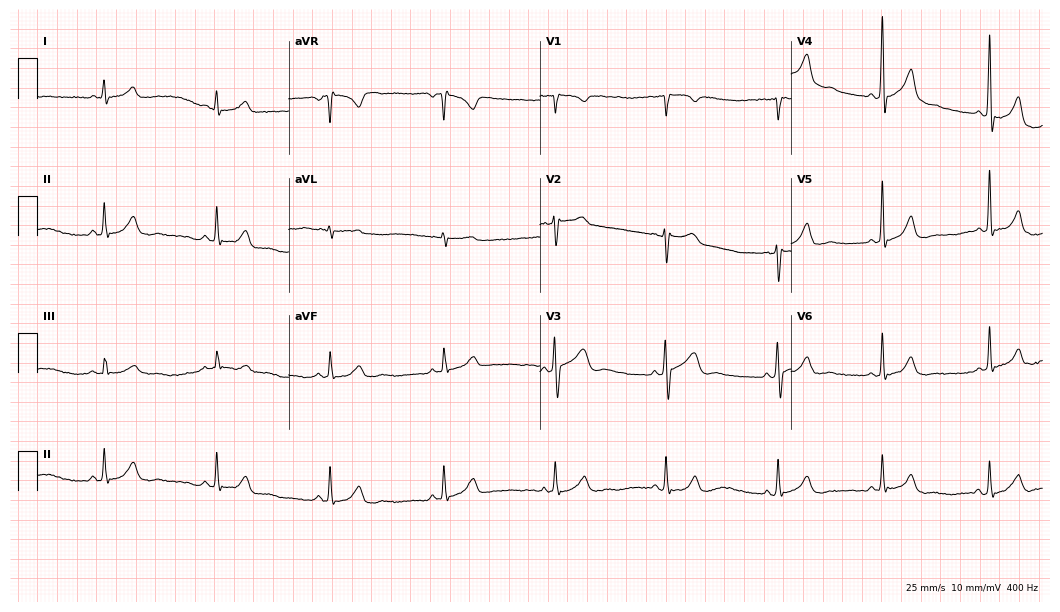
ECG (10.2-second recording at 400 Hz) — a 46-year-old male. Screened for six findings — first-degree AV block, right bundle branch block, left bundle branch block, sinus bradycardia, atrial fibrillation, sinus tachycardia — none is recorded.